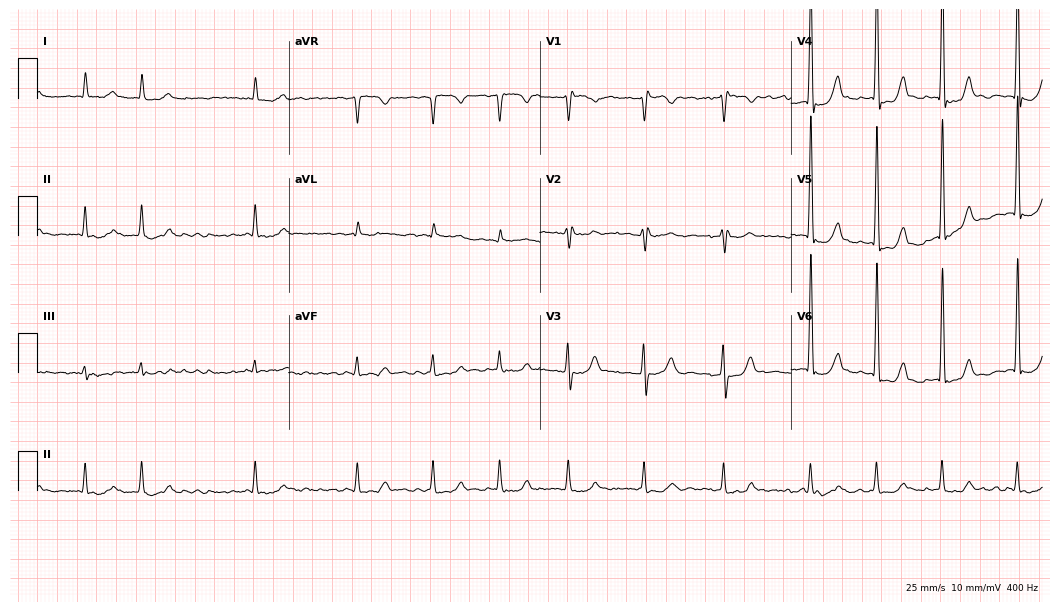
12-lead ECG from an 84-year-old man (10.2-second recording at 400 Hz). Shows atrial fibrillation.